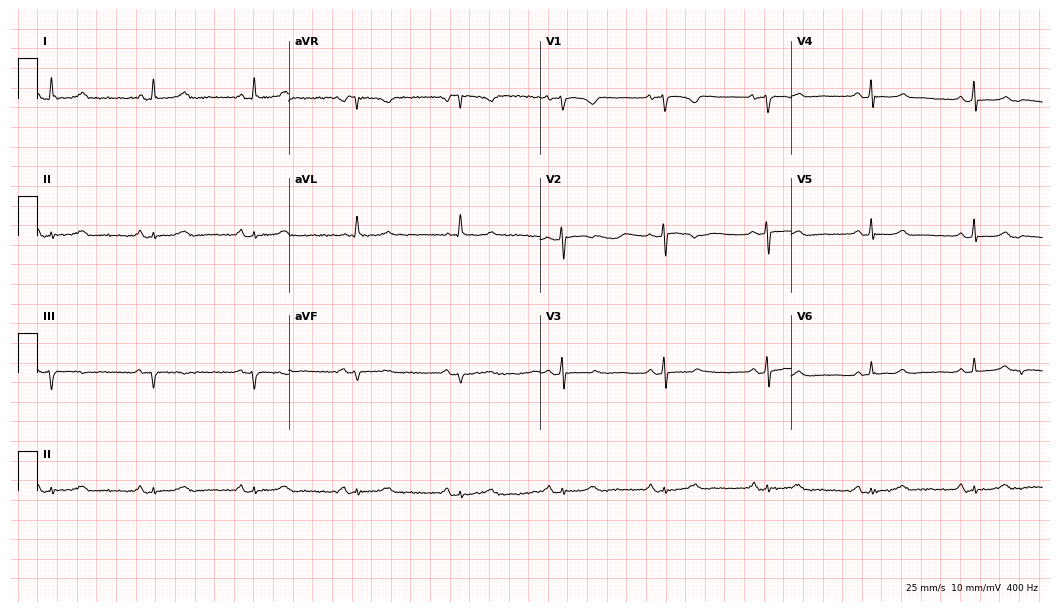
ECG (10.2-second recording at 400 Hz) — a 50-year-old female patient. Screened for six findings — first-degree AV block, right bundle branch block, left bundle branch block, sinus bradycardia, atrial fibrillation, sinus tachycardia — none is recorded.